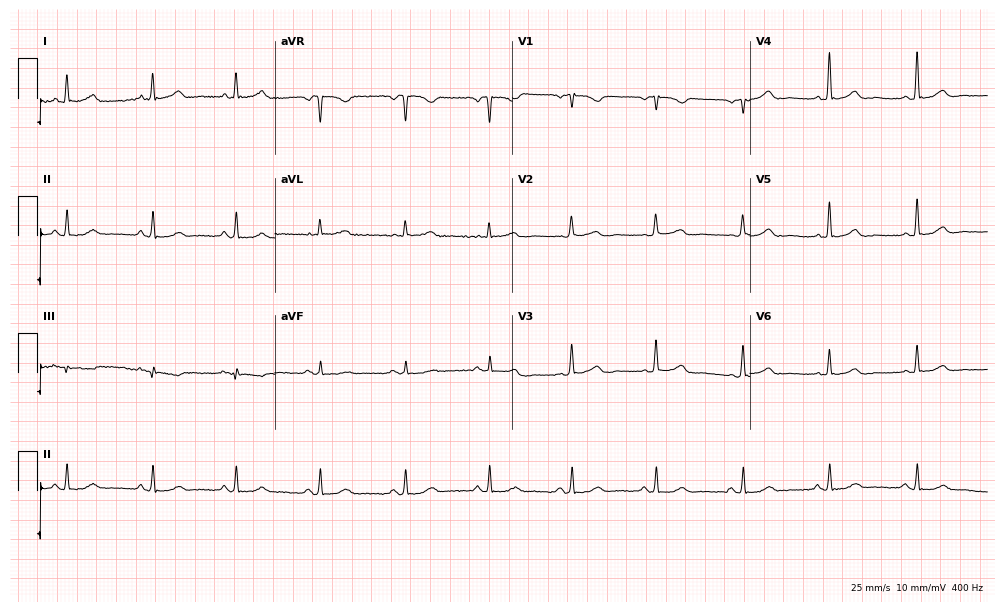
ECG — a female, 65 years old. Labelled as a normal ECG.